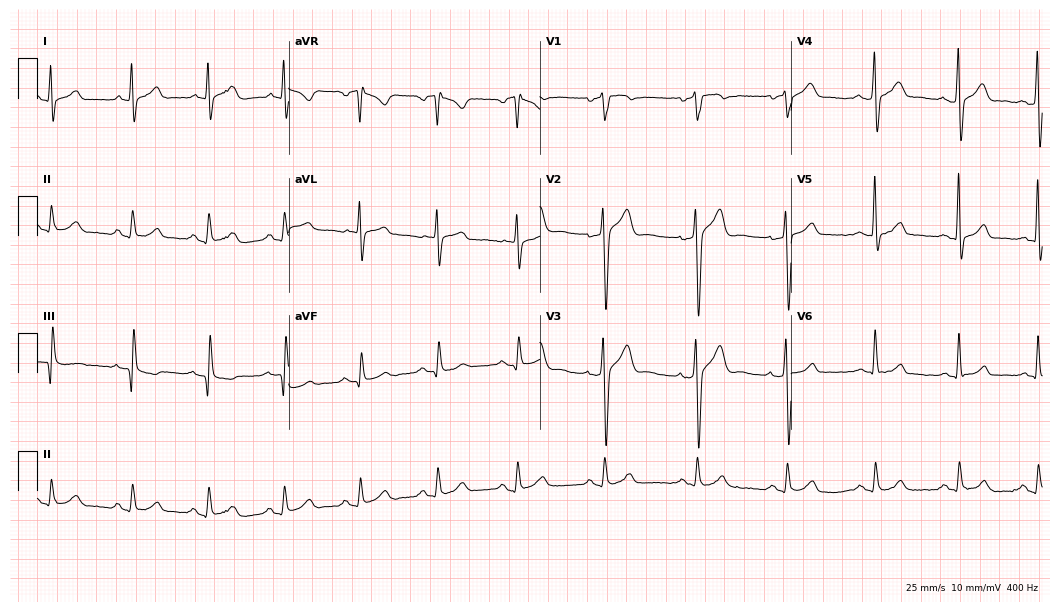
ECG (10.2-second recording at 400 Hz) — a 43-year-old male patient. Labelled as a normal ECG.